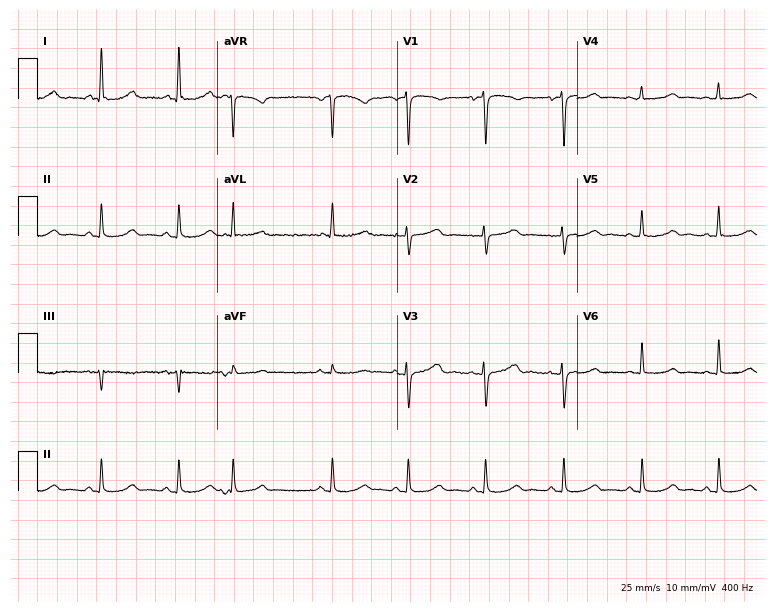
Electrocardiogram (7.3-second recording at 400 Hz), a 46-year-old woman. Overall reading on record: normal ECG.